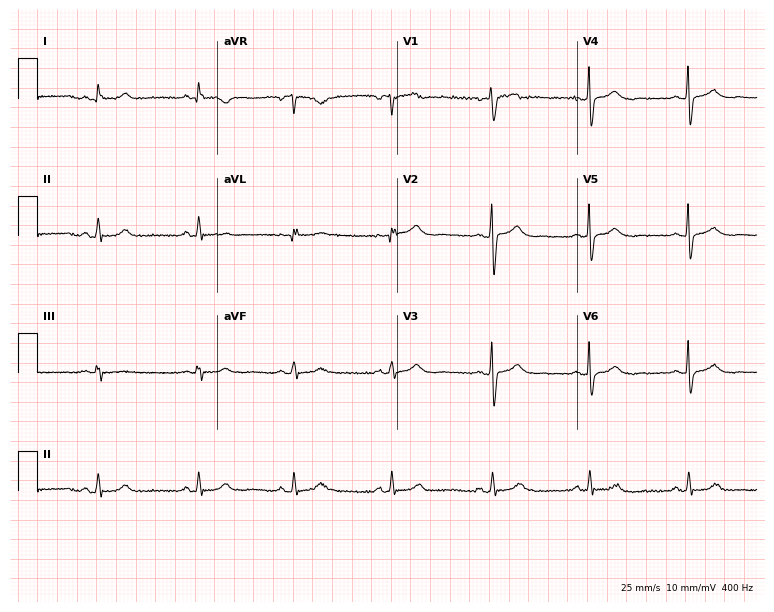
Standard 12-lead ECG recorded from a female, 46 years old. Read as a normal ECG.